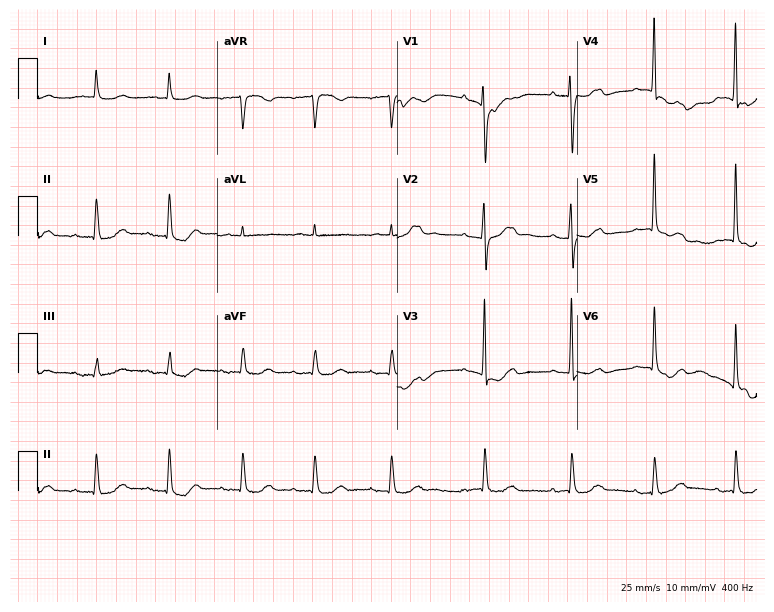
ECG (7.3-second recording at 400 Hz) — a male patient, 84 years old. Labelled as a normal ECG.